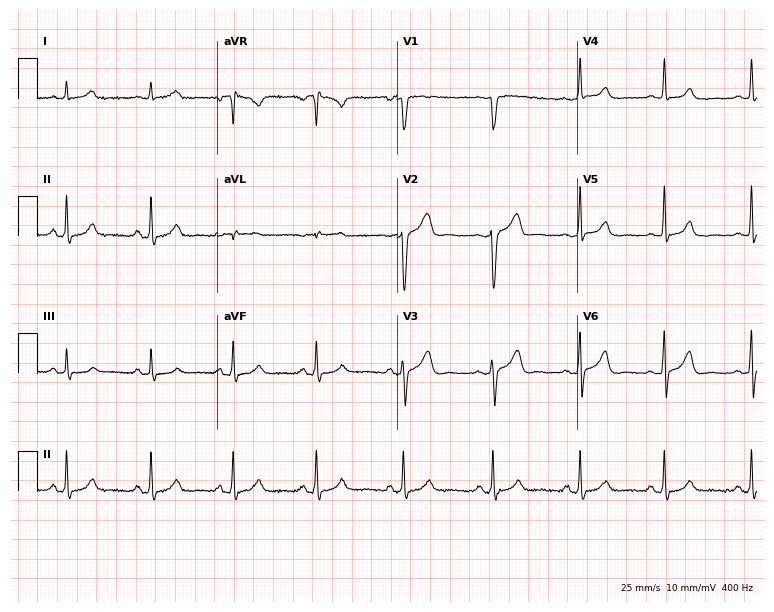
Electrocardiogram, a female patient, 51 years old. Of the six screened findings (first-degree AV block, right bundle branch block, left bundle branch block, sinus bradycardia, atrial fibrillation, sinus tachycardia), none is recorded.